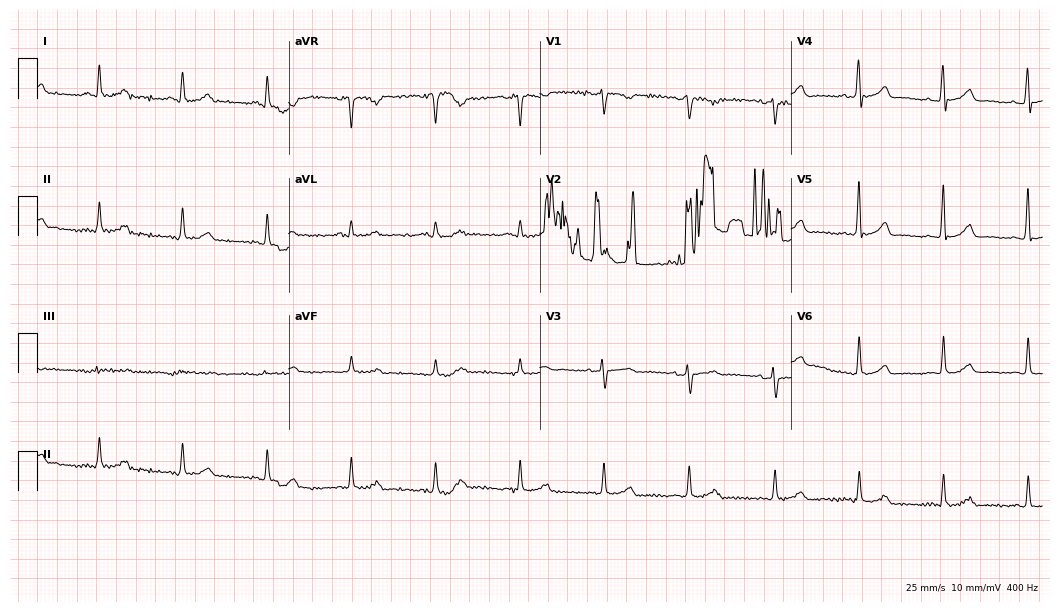
12-lead ECG from a female, 68 years old. No first-degree AV block, right bundle branch block (RBBB), left bundle branch block (LBBB), sinus bradycardia, atrial fibrillation (AF) or sinus tachycardia recorded for this tracing. Only these six findings were labelled.